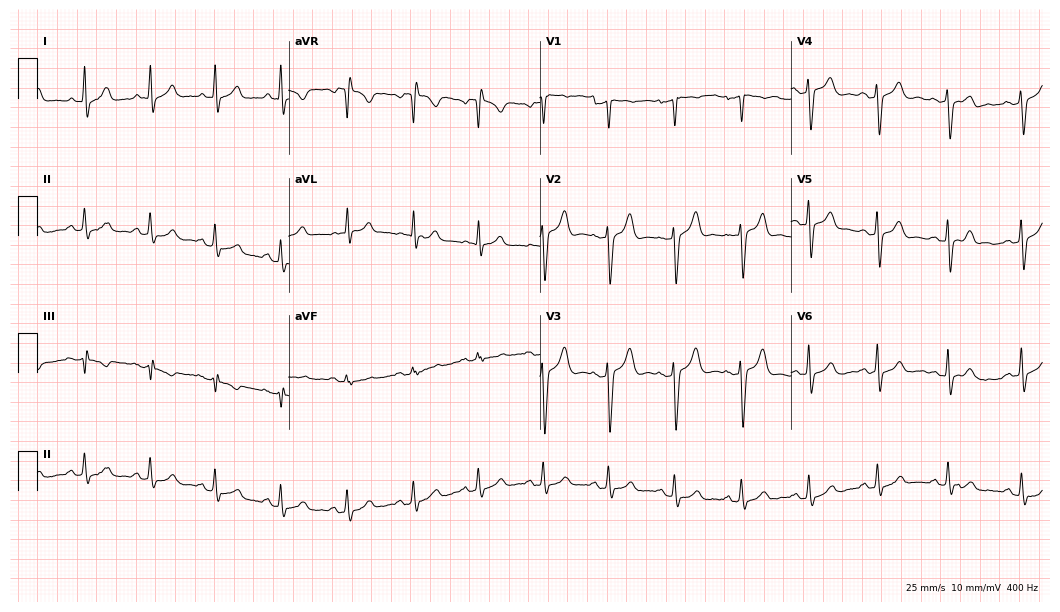
ECG — a male, 45 years old. Screened for six findings — first-degree AV block, right bundle branch block (RBBB), left bundle branch block (LBBB), sinus bradycardia, atrial fibrillation (AF), sinus tachycardia — none is recorded.